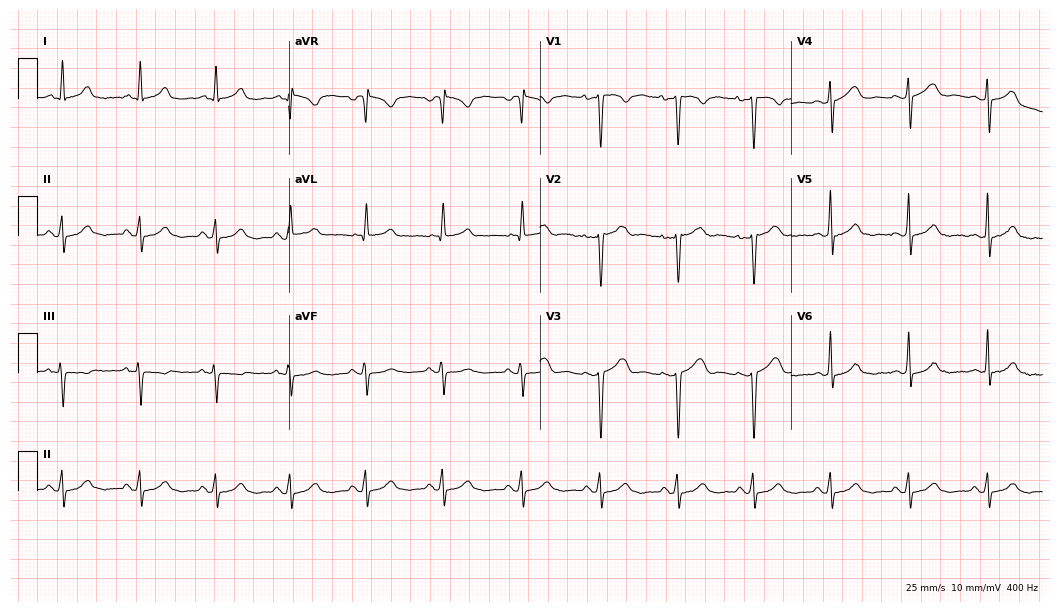
Resting 12-lead electrocardiogram. Patient: a female, 41 years old. Read as a normal ECG.